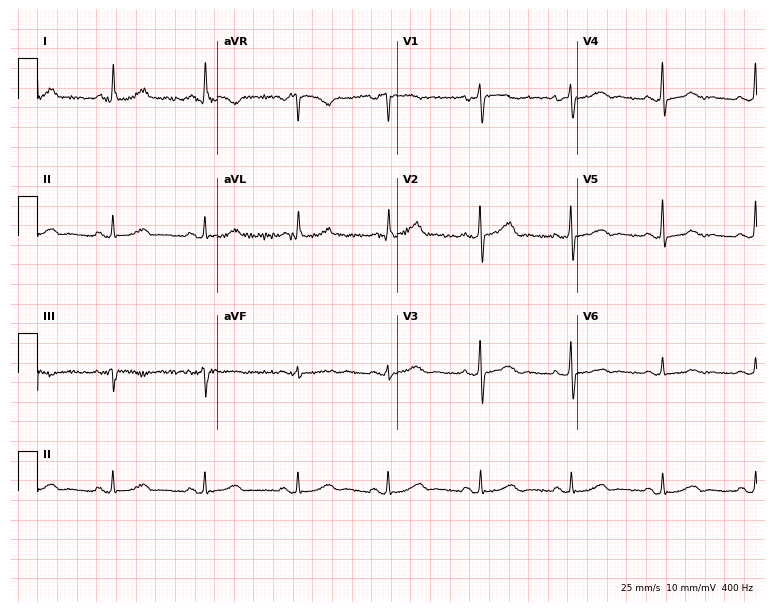
Electrocardiogram (7.3-second recording at 400 Hz), a female, 66 years old. Overall reading on record: normal ECG.